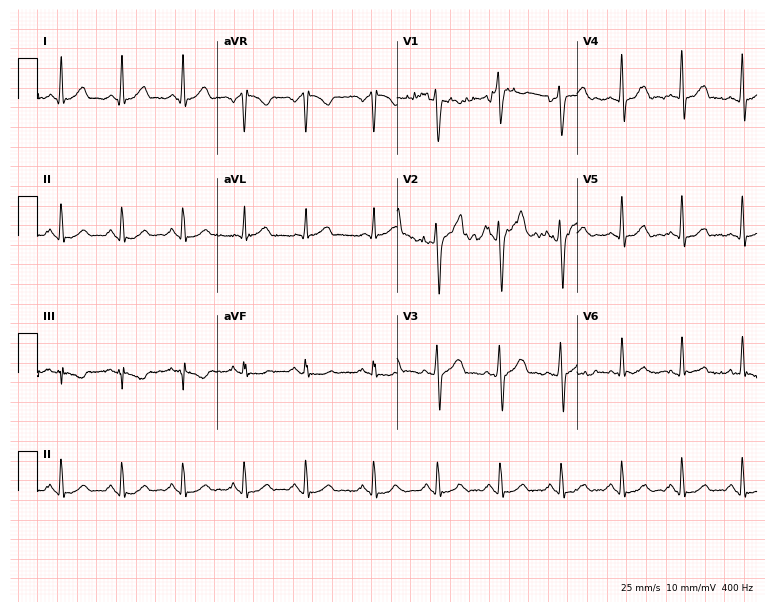
Resting 12-lead electrocardiogram (7.3-second recording at 400 Hz). Patient: a 34-year-old male. None of these six findings is recorded: first-degree AV block, right bundle branch block, left bundle branch block, sinus bradycardia, atrial fibrillation, sinus tachycardia. Findings outside these six are not listed.